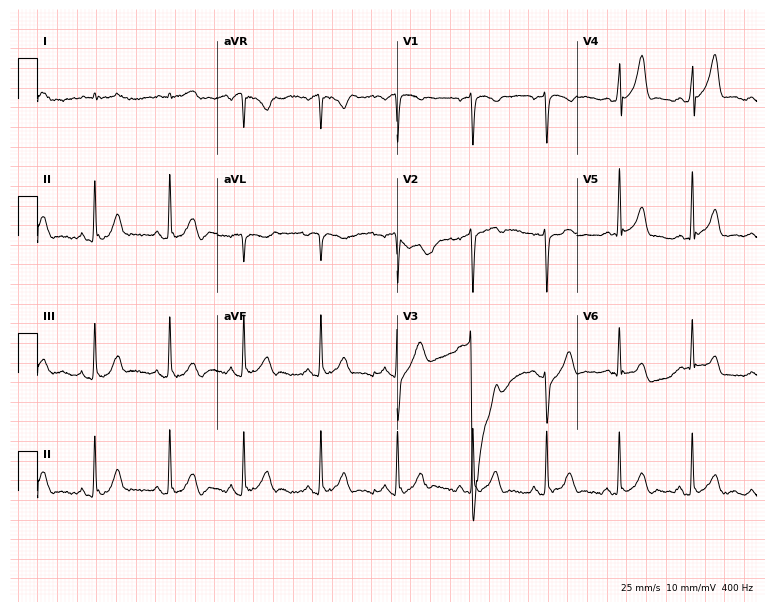
Standard 12-lead ECG recorded from a 39-year-old male patient. Read as a normal ECG.